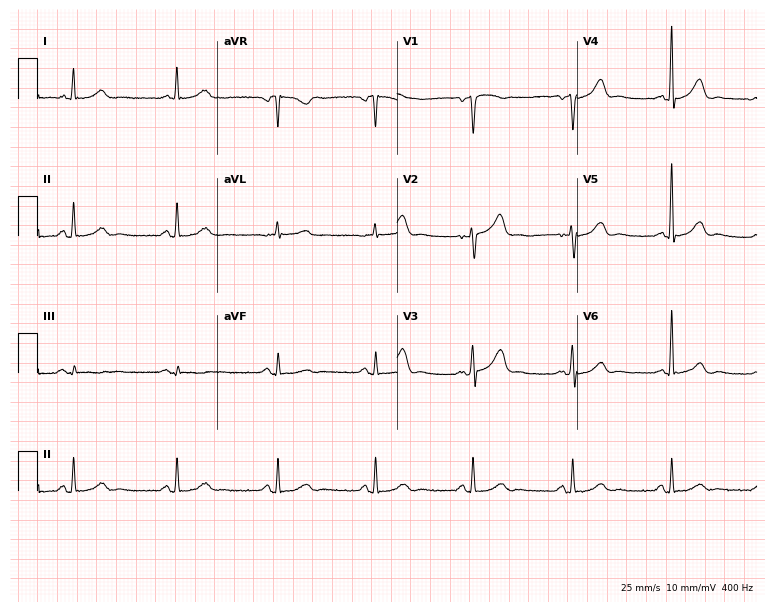
Electrocardiogram, a man, 70 years old. Overall reading on record: normal ECG.